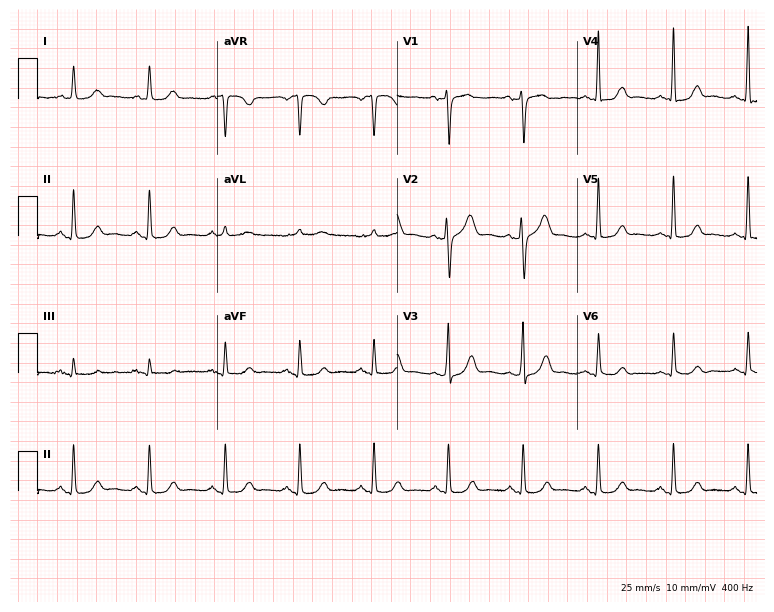
12-lead ECG from a female patient, 59 years old. Recorded interpretation: within normal limits.